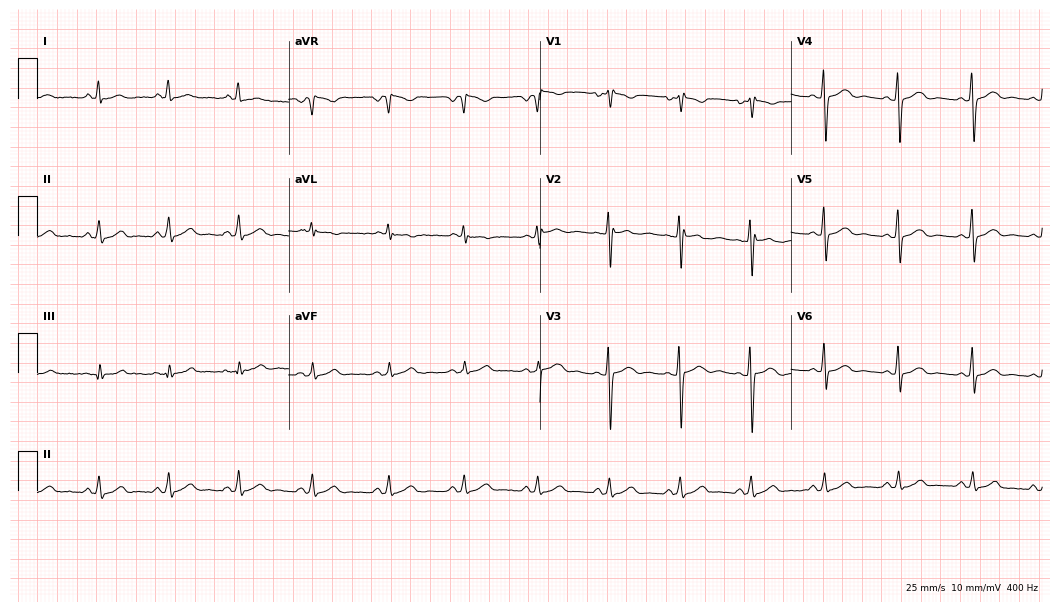
ECG (10.2-second recording at 400 Hz) — a female patient, 26 years old. Labelled as a normal ECG.